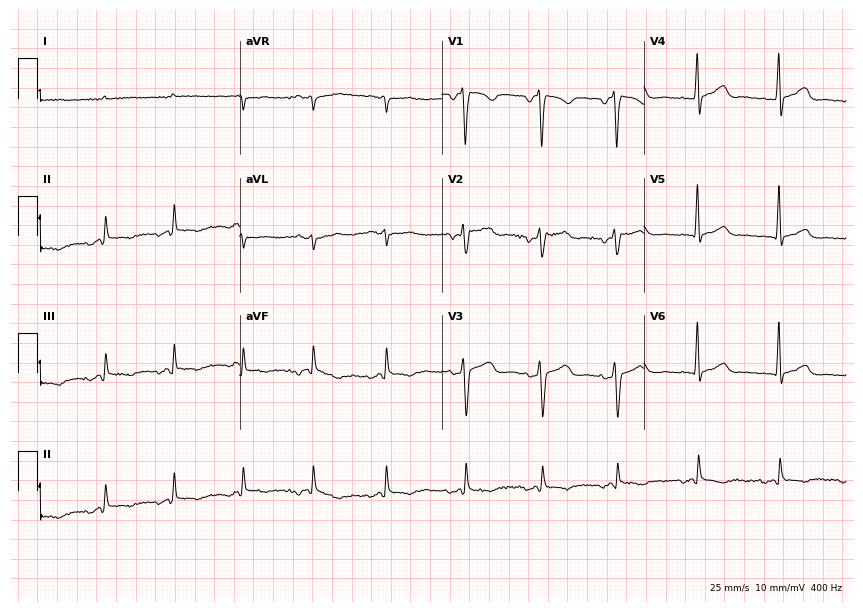
Standard 12-lead ECG recorded from a 46-year-old female (8.2-second recording at 400 Hz). None of these six findings is recorded: first-degree AV block, right bundle branch block, left bundle branch block, sinus bradycardia, atrial fibrillation, sinus tachycardia.